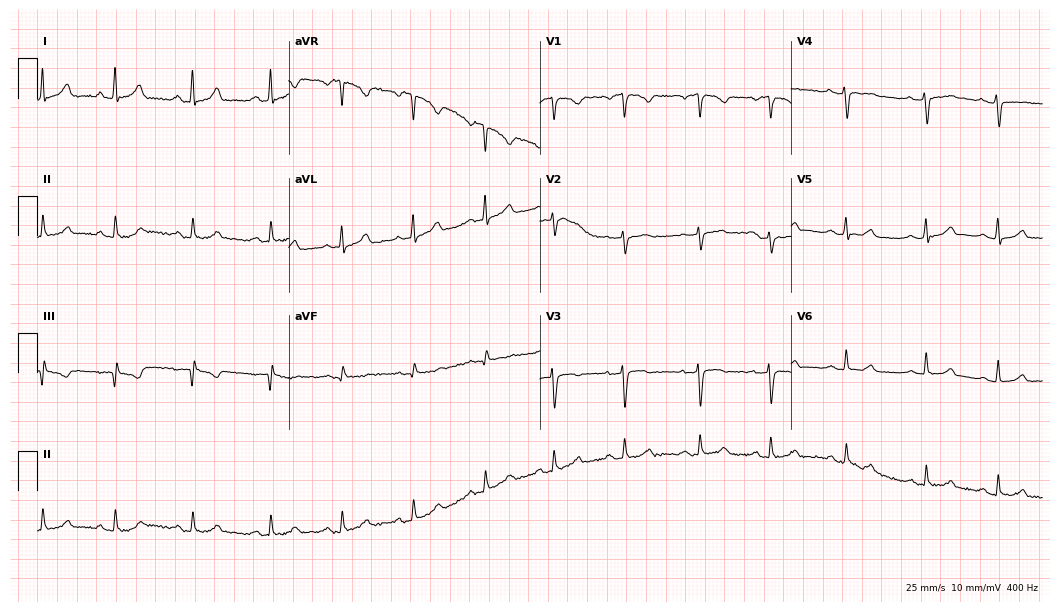
Electrocardiogram, a 31-year-old woman. Of the six screened findings (first-degree AV block, right bundle branch block, left bundle branch block, sinus bradycardia, atrial fibrillation, sinus tachycardia), none is recorded.